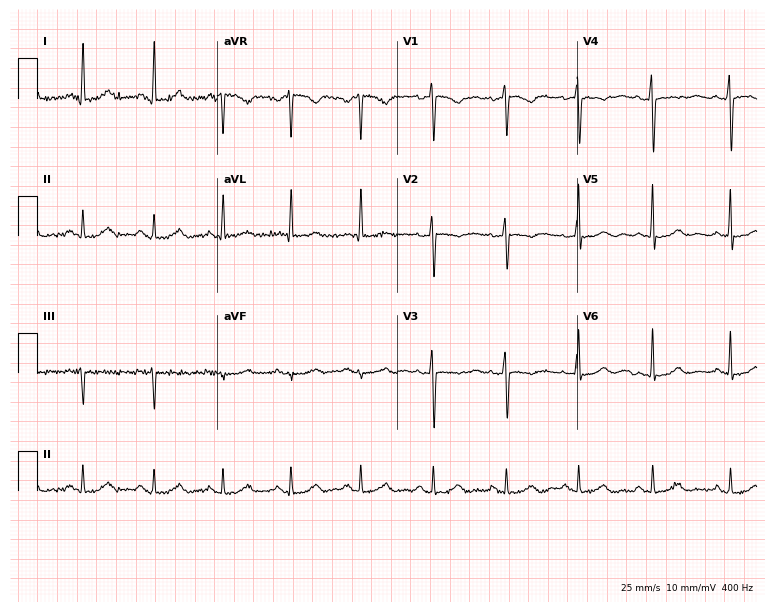
Electrocardiogram (7.3-second recording at 400 Hz), a female patient, 66 years old. Of the six screened findings (first-degree AV block, right bundle branch block, left bundle branch block, sinus bradycardia, atrial fibrillation, sinus tachycardia), none is recorded.